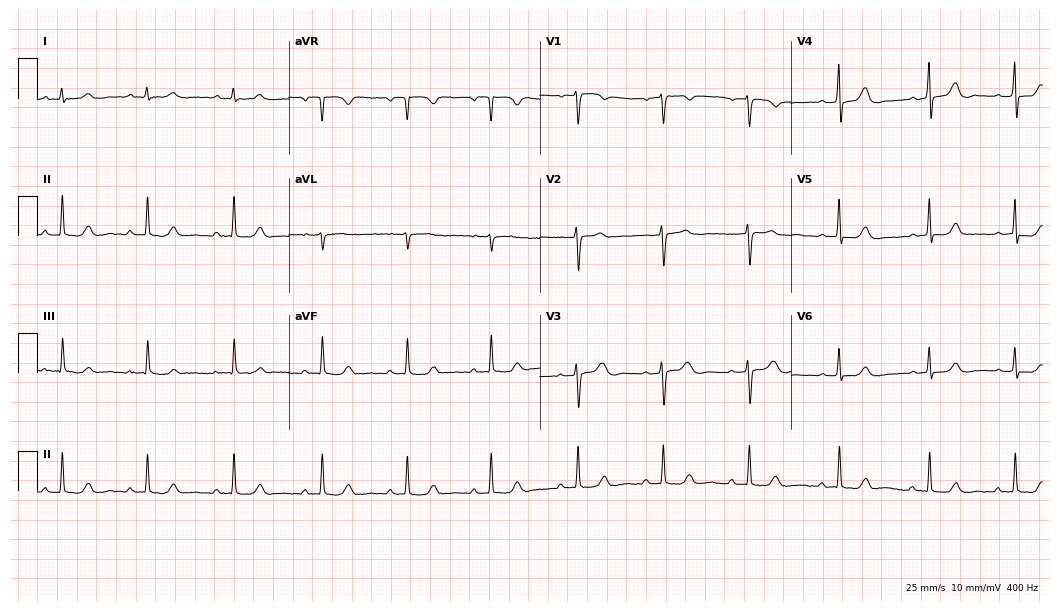
12-lead ECG from a female, 39 years old (10.2-second recording at 400 Hz). Recorded interpretation: within normal limits.